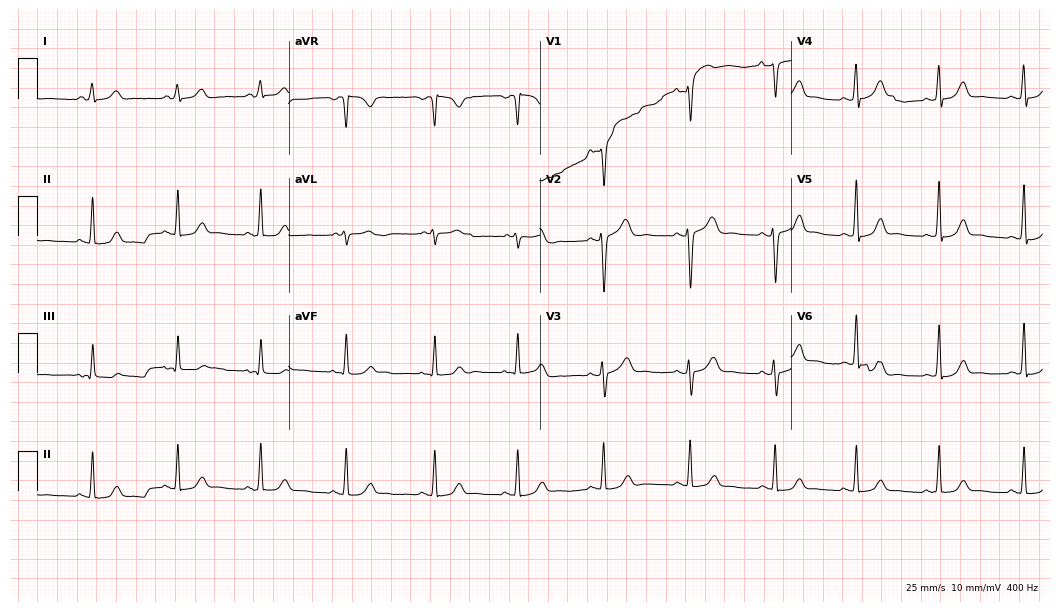
ECG (10.2-second recording at 400 Hz) — a female, 27 years old. Labelled as a normal ECG.